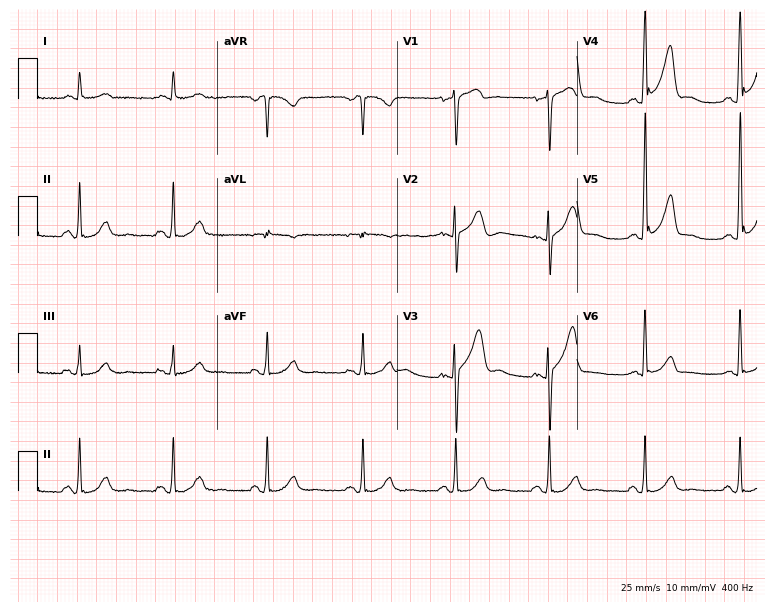
Electrocardiogram (7.3-second recording at 400 Hz), a 67-year-old male. Of the six screened findings (first-degree AV block, right bundle branch block, left bundle branch block, sinus bradycardia, atrial fibrillation, sinus tachycardia), none is recorded. Findings outside these six are not listed.